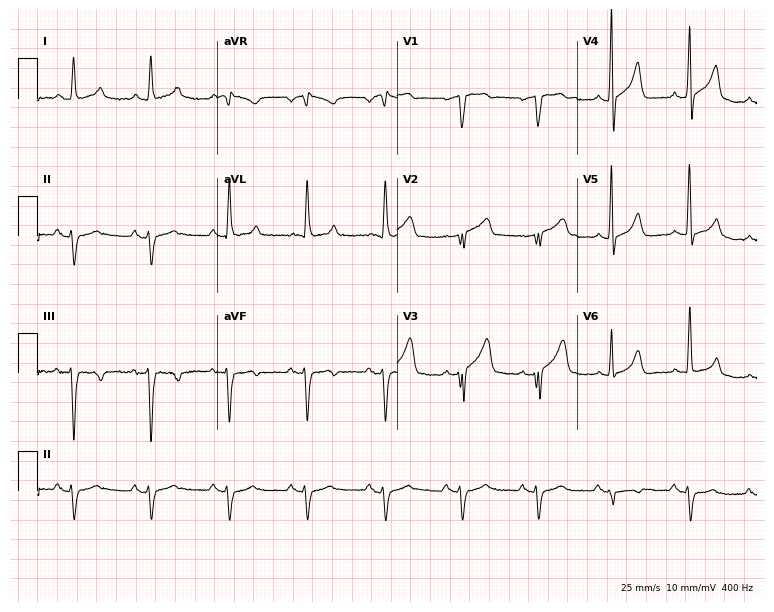
12-lead ECG from a 74-year-old male. No first-degree AV block, right bundle branch block (RBBB), left bundle branch block (LBBB), sinus bradycardia, atrial fibrillation (AF) or sinus tachycardia recorded for this tracing.